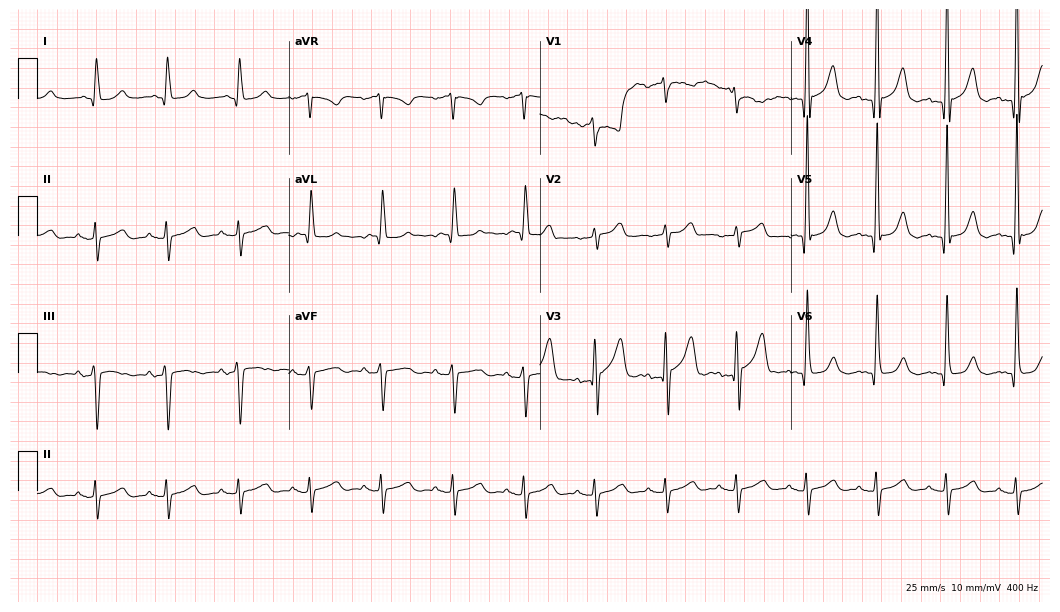
ECG — a male, 52 years old. Screened for six findings — first-degree AV block, right bundle branch block, left bundle branch block, sinus bradycardia, atrial fibrillation, sinus tachycardia — none is recorded. Only these six findings were labelled.